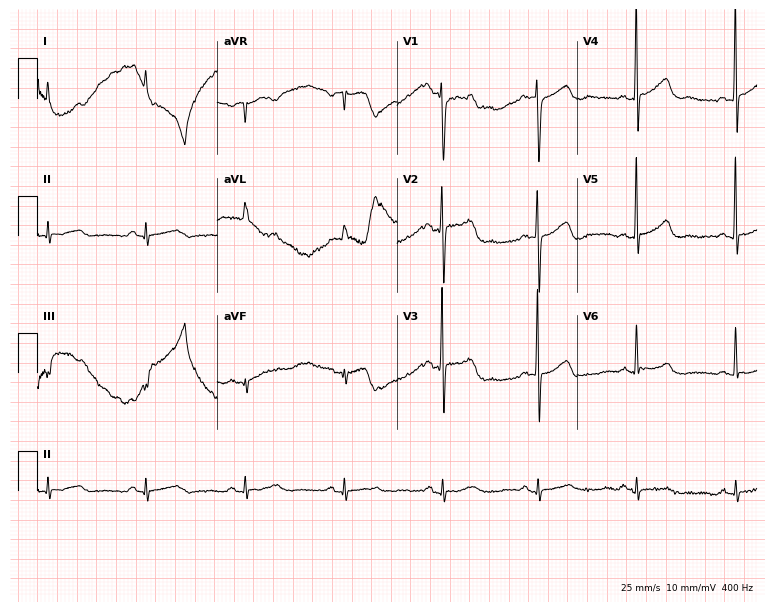
ECG — a 71-year-old male patient. Labelled as a normal ECG.